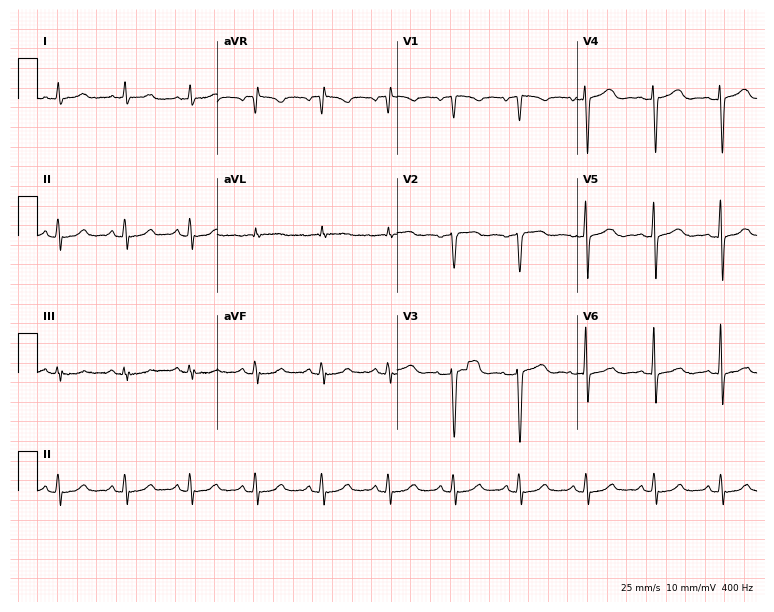
Electrocardiogram, a 51-year-old woman. Of the six screened findings (first-degree AV block, right bundle branch block (RBBB), left bundle branch block (LBBB), sinus bradycardia, atrial fibrillation (AF), sinus tachycardia), none is recorded.